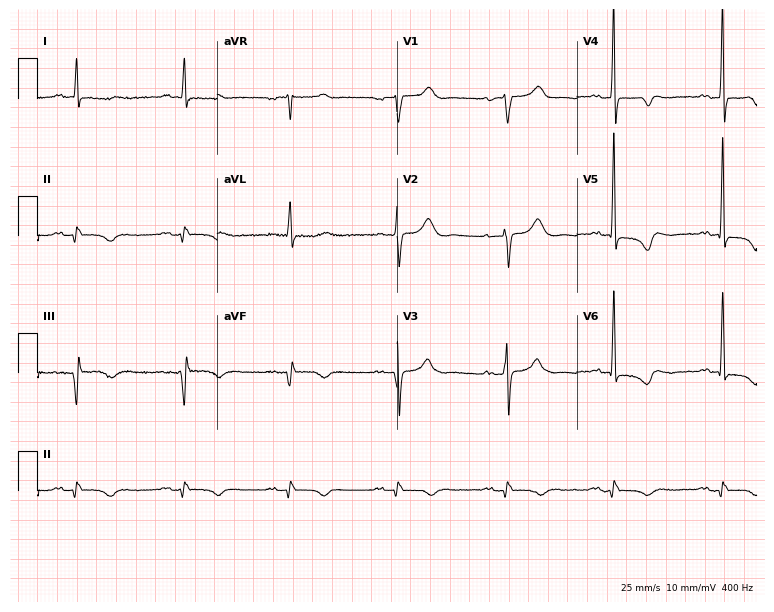
12-lead ECG (7.3-second recording at 400 Hz) from a 63-year-old male patient. Screened for six findings — first-degree AV block, right bundle branch block (RBBB), left bundle branch block (LBBB), sinus bradycardia, atrial fibrillation (AF), sinus tachycardia — none is recorded. Other findings, if any, are not listed.